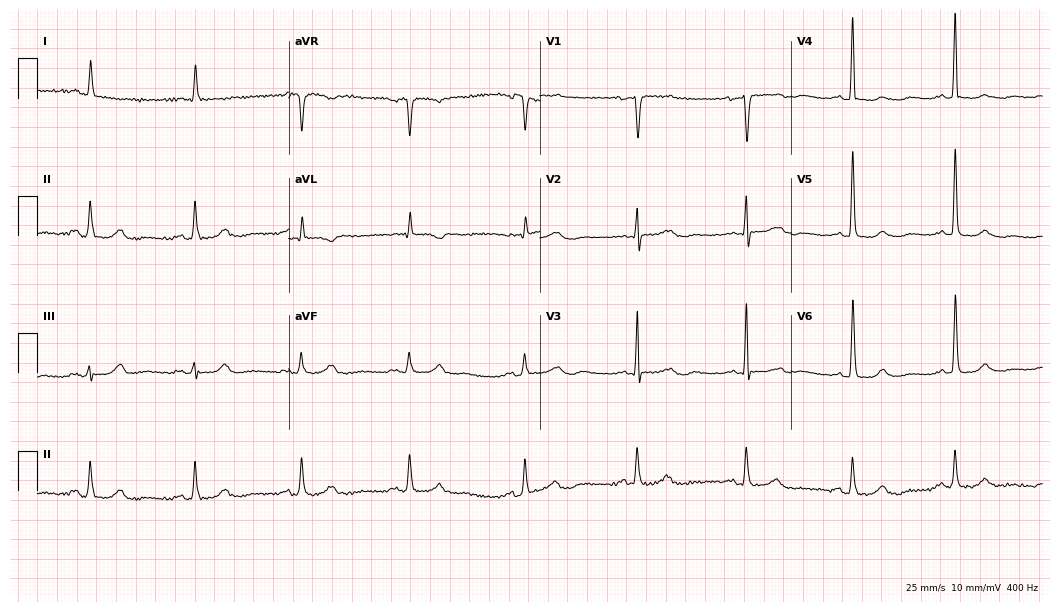
12-lead ECG from an 86-year-old woman. Screened for six findings — first-degree AV block, right bundle branch block (RBBB), left bundle branch block (LBBB), sinus bradycardia, atrial fibrillation (AF), sinus tachycardia — none is recorded. Findings outside these six are not listed.